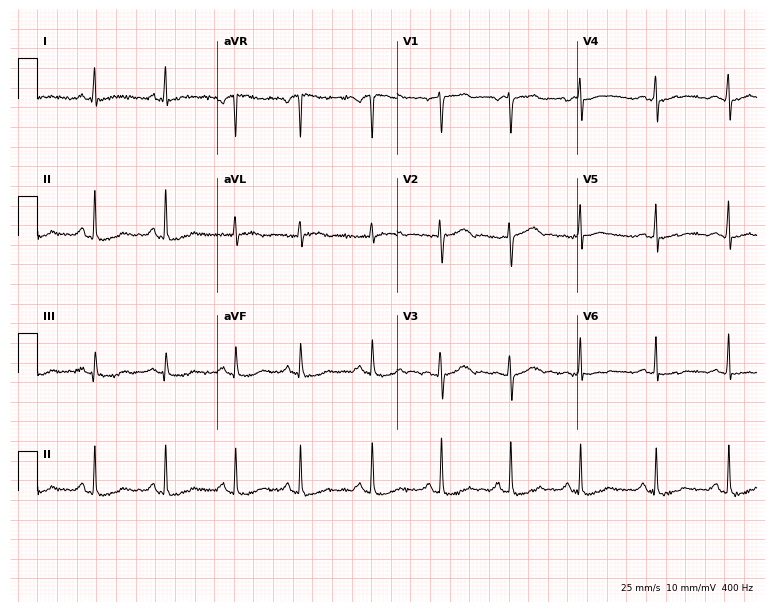
12-lead ECG from a female, 64 years old. Labelled as a normal ECG.